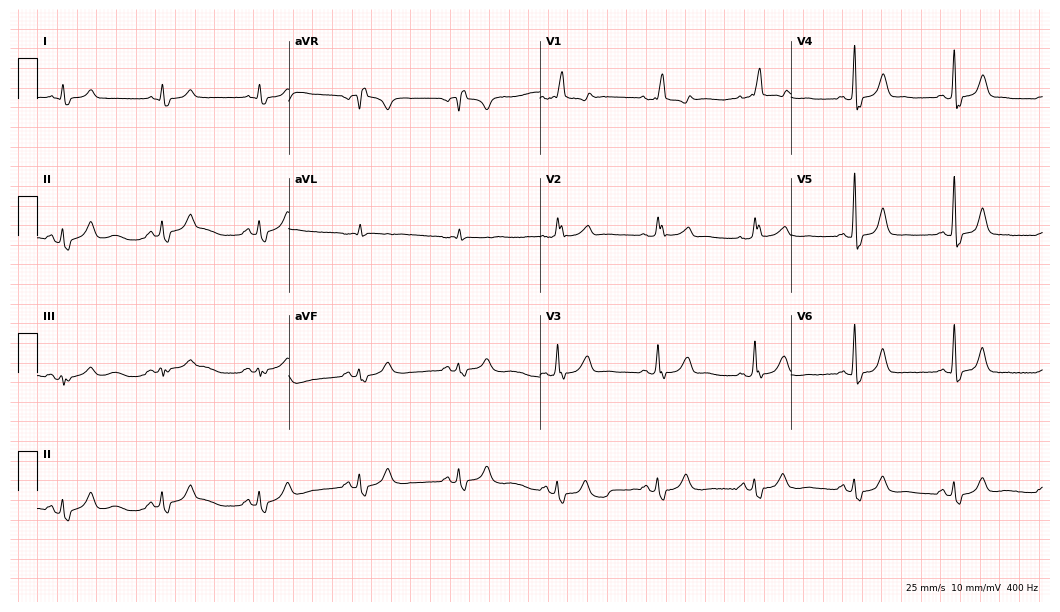
ECG (10.2-second recording at 400 Hz) — an 80-year-old female. Findings include right bundle branch block.